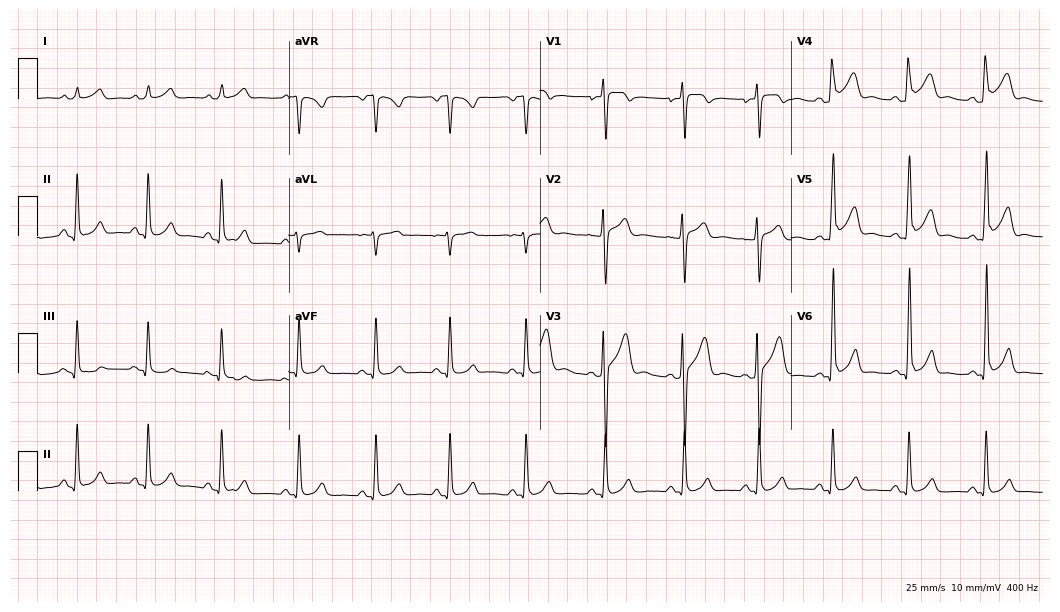
ECG (10.2-second recording at 400 Hz) — a man, 19 years old. Screened for six findings — first-degree AV block, right bundle branch block (RBBB), left bundle branch block (LBBB), sinus bradycardia, atrial fibrillation (AF), sinus tachycardia — none is recorded. Findings outside these six are not listed.